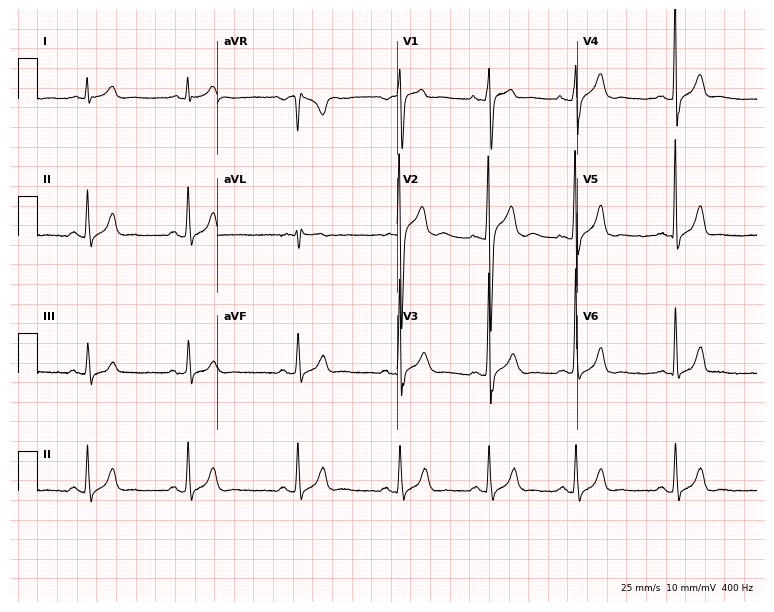
Electrocardiogram (7.3-second recording at 400 Hz), a male patient, 25 years old. Of the six screened findings (first-degree AV block, right bundle branch block (RBBB), left bundle branch block (LBBB), sinus bradycardia, atrial fibrillation (AF), sinus tachycardia), none is recorded.